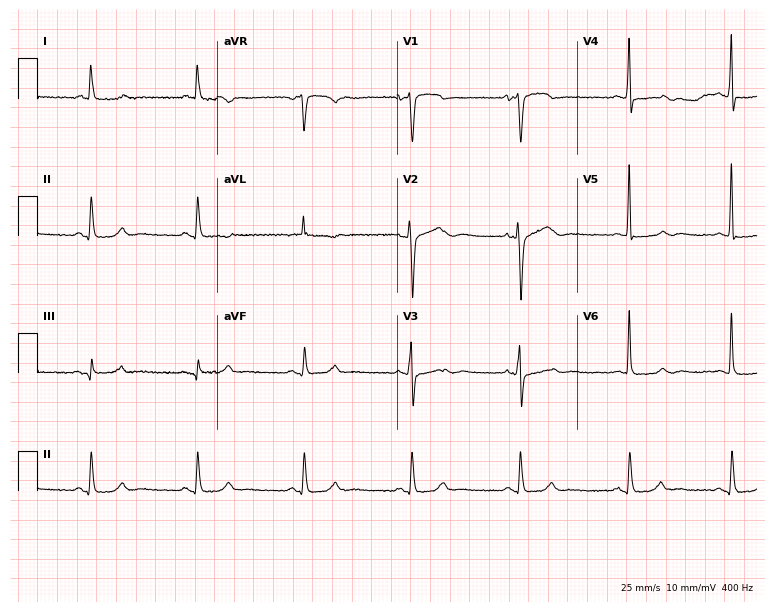
Resting 12-lead electrocardiogram (7.3-second recording at 400 Hz). Patient: an 81-year-old male. None of these six findings is recorded: first-degree AV block, right bundle branch block, left bundle branch block, sinus bradycardia, atrial fibrillation, sinus tachycardia.